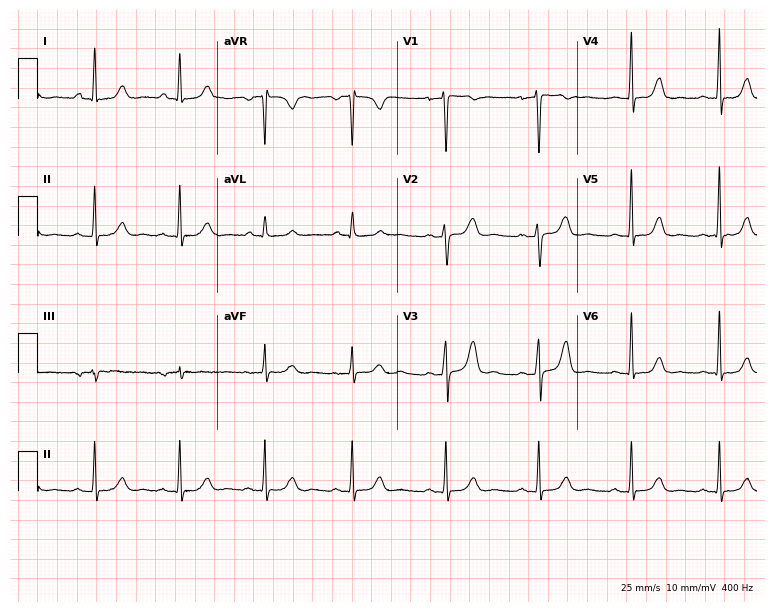
Electrocardiogram (7.3-second recording at 400 Hz), a man, 53 years old. Overall reading on record: normal ECG.